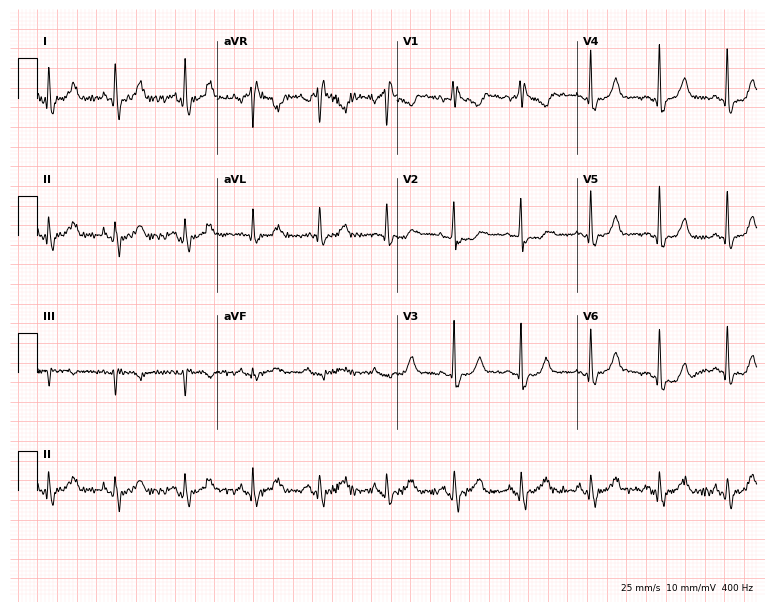
Standard 12-lead ECG recorded from a female, 50 years old (7.3-second recording at 400 Hz). The tracing shows right bundle branch block (RBBB).